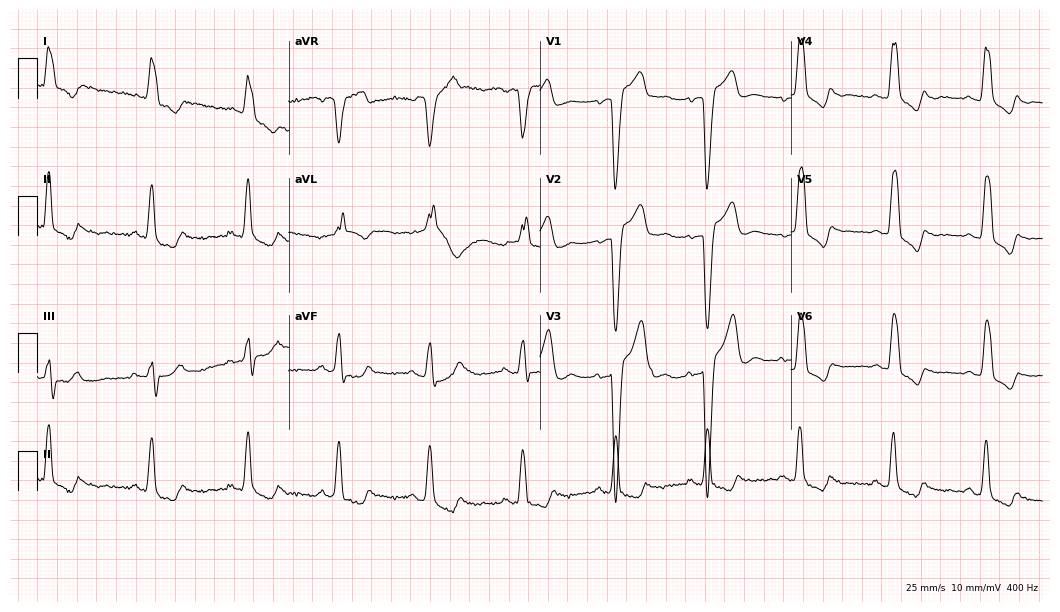
ECG — a female, 75 years old. Findings include left bundle branch block.